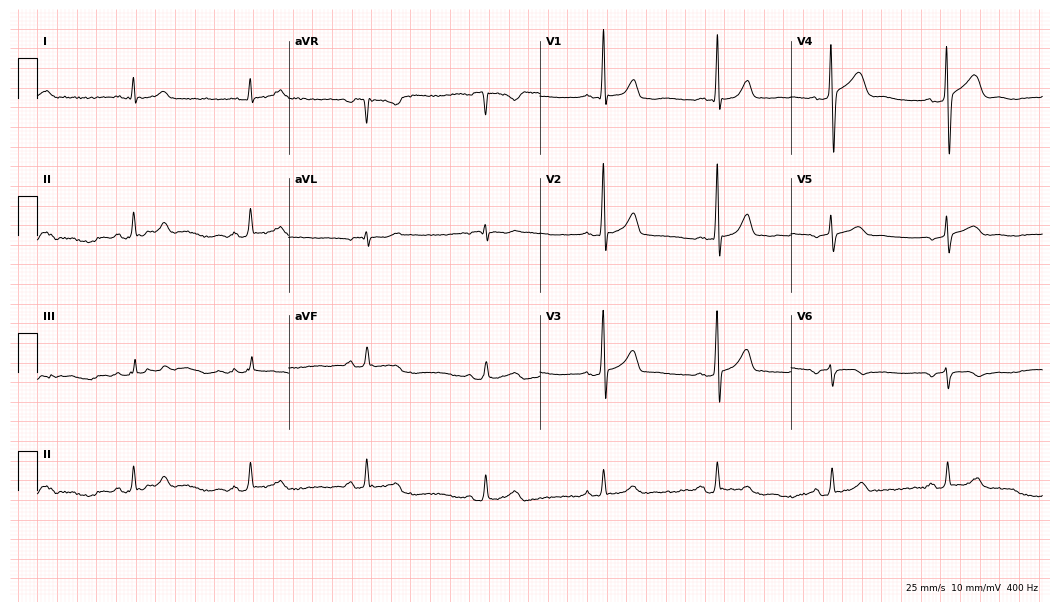
Electrocardiogram (10.2-second recording at 400 Hz), a 66-year-old male. Of the six screened findings (first-degree AV block, right bundle branch block, left bundle branch block, sinus bradycardia, atrial fibrillation, sinus tachycardia), none is recorded.